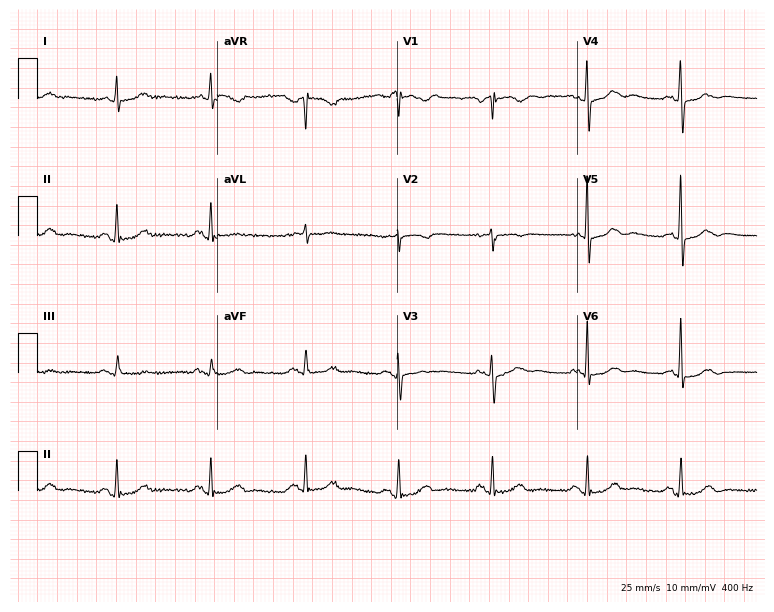
ECG — a female patient, 75 years old. Labelled as a normal ECG.